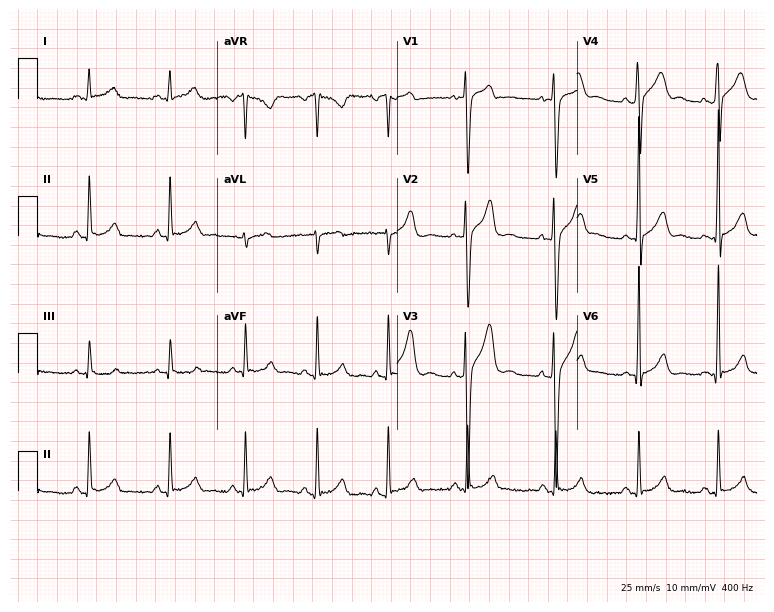
12-lead ECG (7.3-second recording at 400 Hz) from a man, 22 years old. Labelled as a normal ECG.